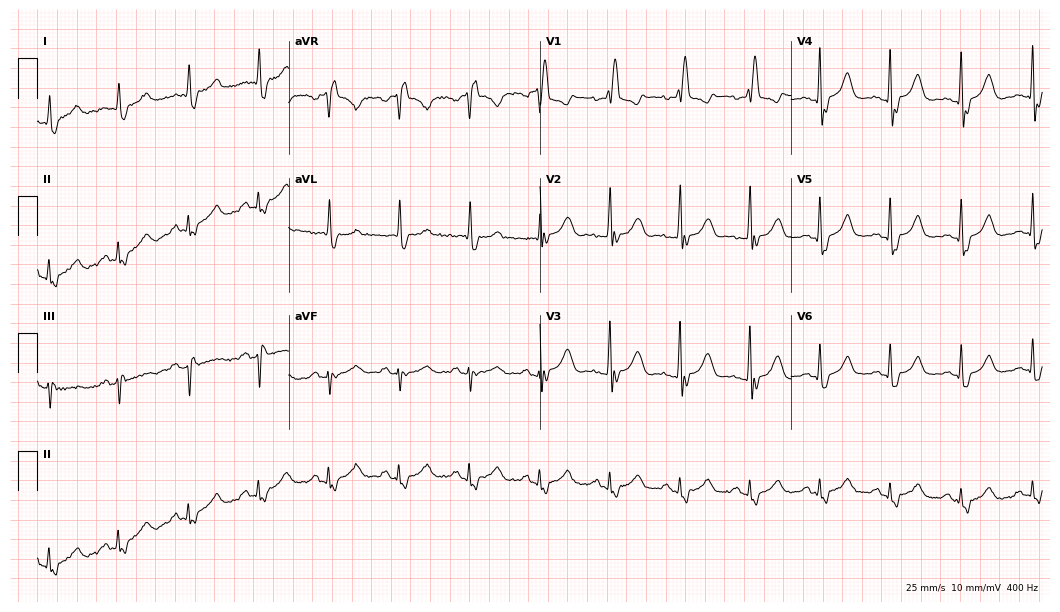
Resting 12-lead electrocardiogram (10.2-second recording at 400 Hz). Patient: a woman, 73 years old. The tracing shows right bundle branch block.